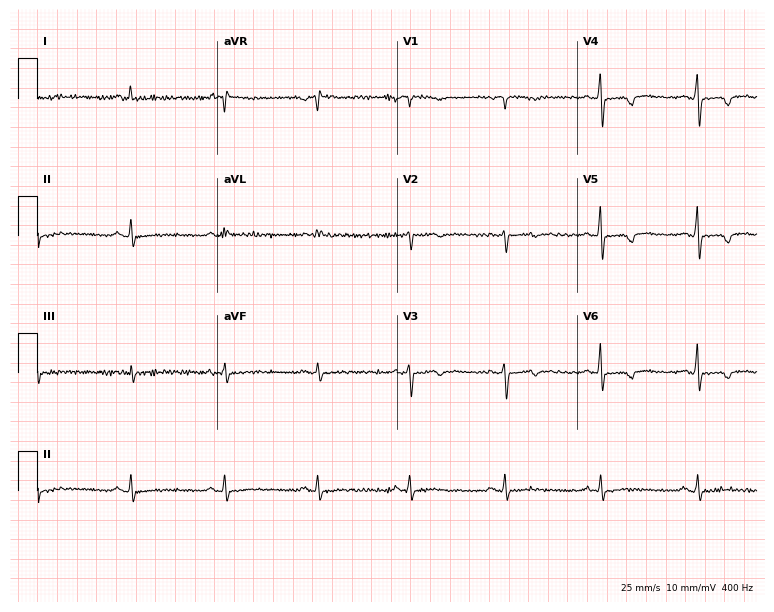
Electrocardiogram, a 73-year-old male patient. Of the six screened findings (first-degree AV block, right bundle branch block, left bundle branch block, sinus bradycardia, atrial fibrillation, sinus tachycardia), none is recorded.